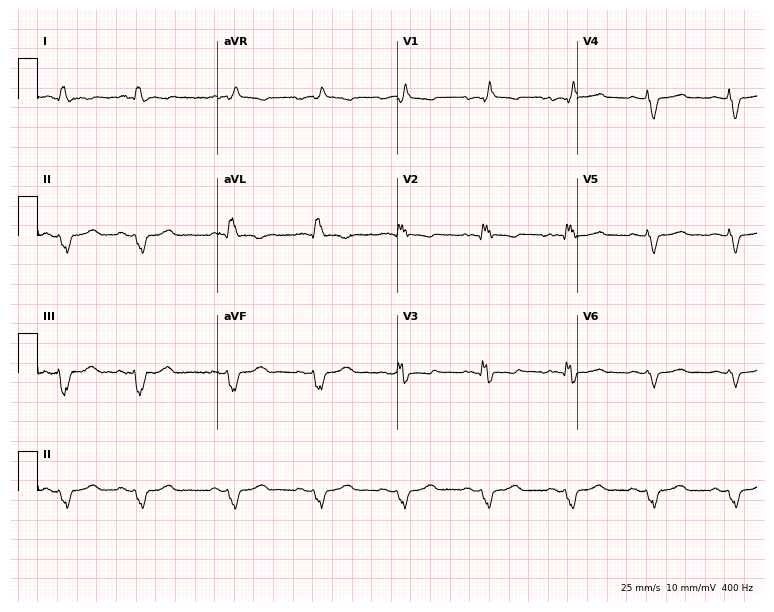
Standard 12-lead ECG recorded from a female, 46 years old (7.3-second recording at 400 Hz). The tracing shows right bundle branch block.